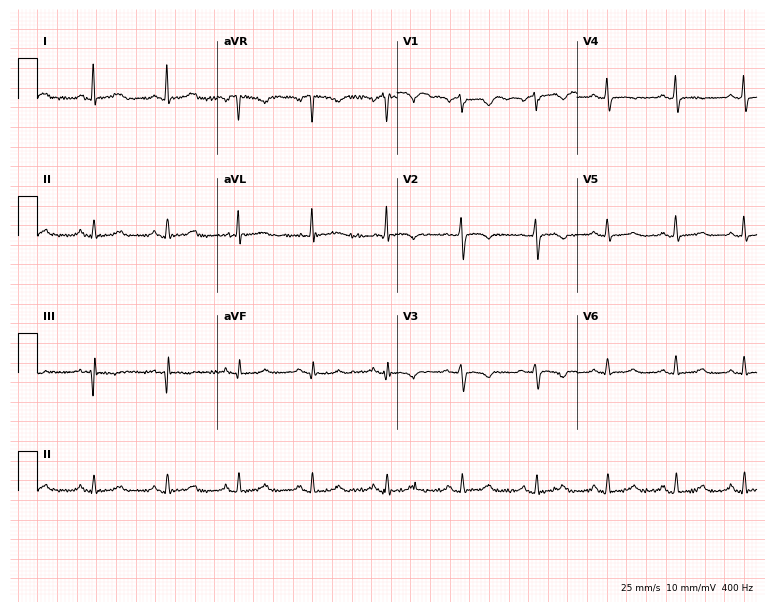
Standard 12-lead ECG recorded from a 57-year-old female (7.3-second recording at 400 Hz). None of these six findings is recorded: first-degree AV block, right bundle branch block, left bundle branch block, sinus bradycardia, atrial fibrillation, sinus tachycardia. Only these six findings were labelled.